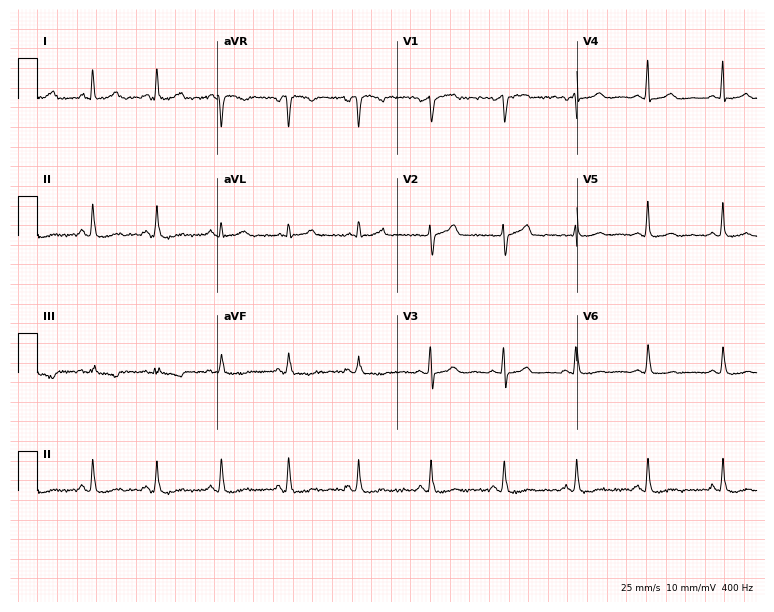
12-lead ECG from a female patient, 51 years old. Screened for six findings — first-degree AV block, right bundle branch block, left bundle branch block, sinus bradycardia, atrial fibrillation, sinus tachycardia — none is recorded.